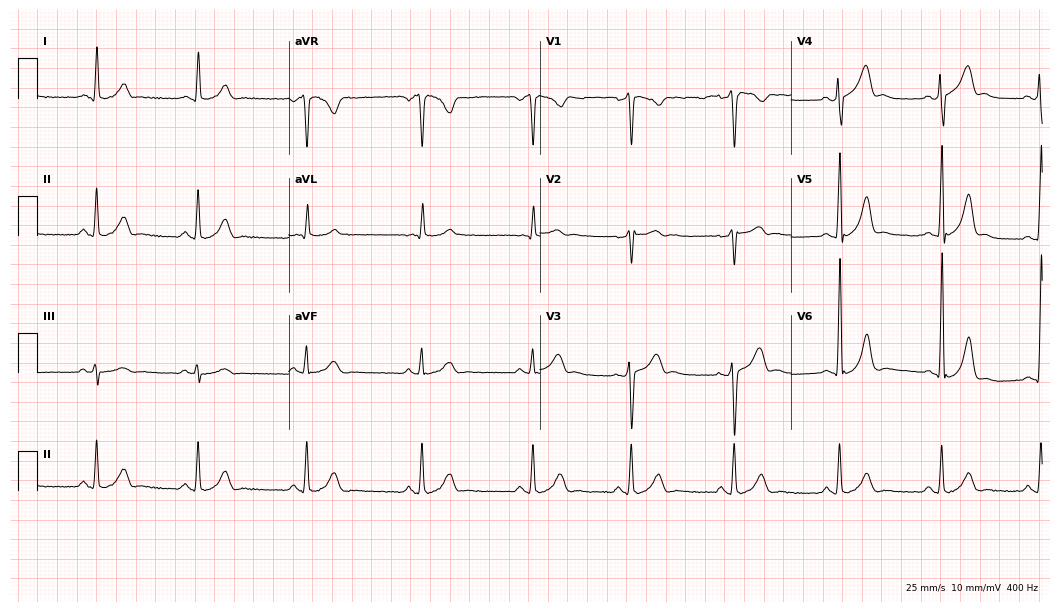
Resting 12-lead electrocardiogram (10.2-second recording at 400 Hz). Patient: a 34-year-old male. Read as a normal ECG.